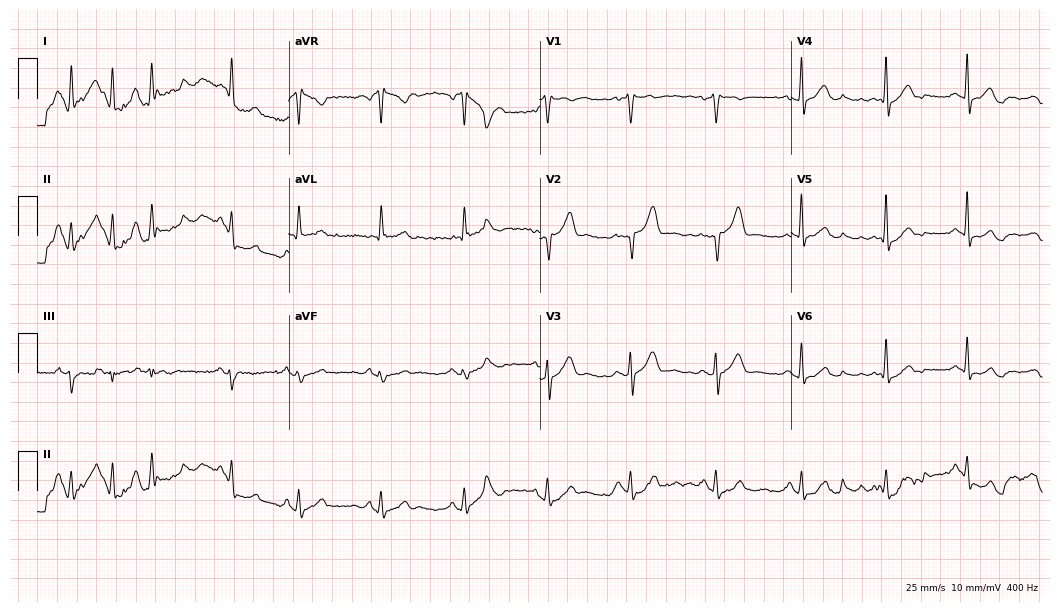
Electrocardiogram, a 51-year-old man. Of the six screened findings (first-degree AV block, right bundle branch block, left bundle branch block, sinus bradycardia, atrial fibrillation, sinus tachycardia), none is recorded. Findings outside these six are not listed.